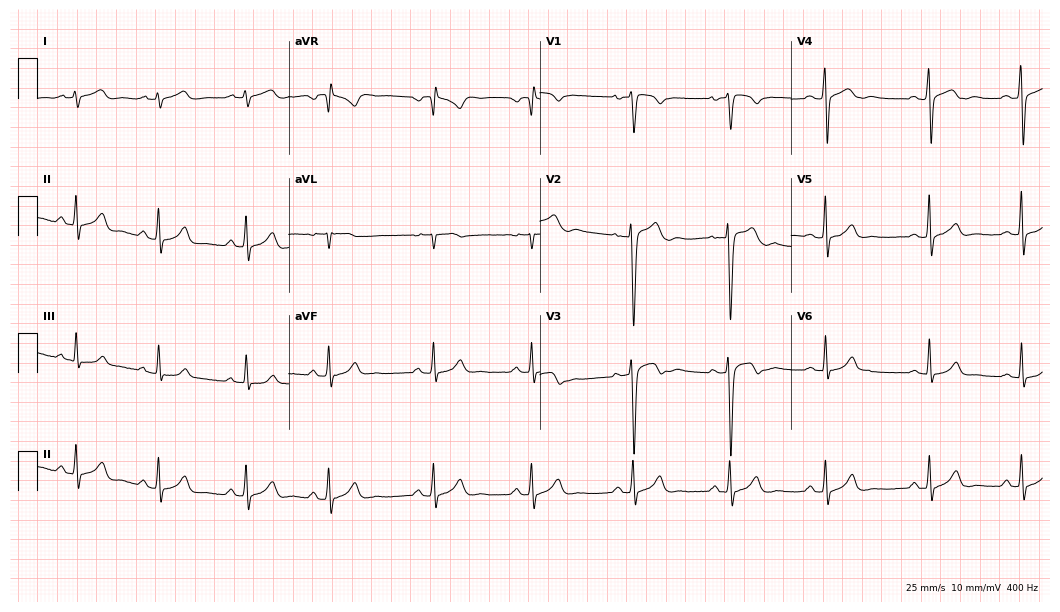
Resting 12-lead electrocardiogram (10.2-second recording at 400 Hz). Patient: an 18-year-old male. Read as a normal ECG.